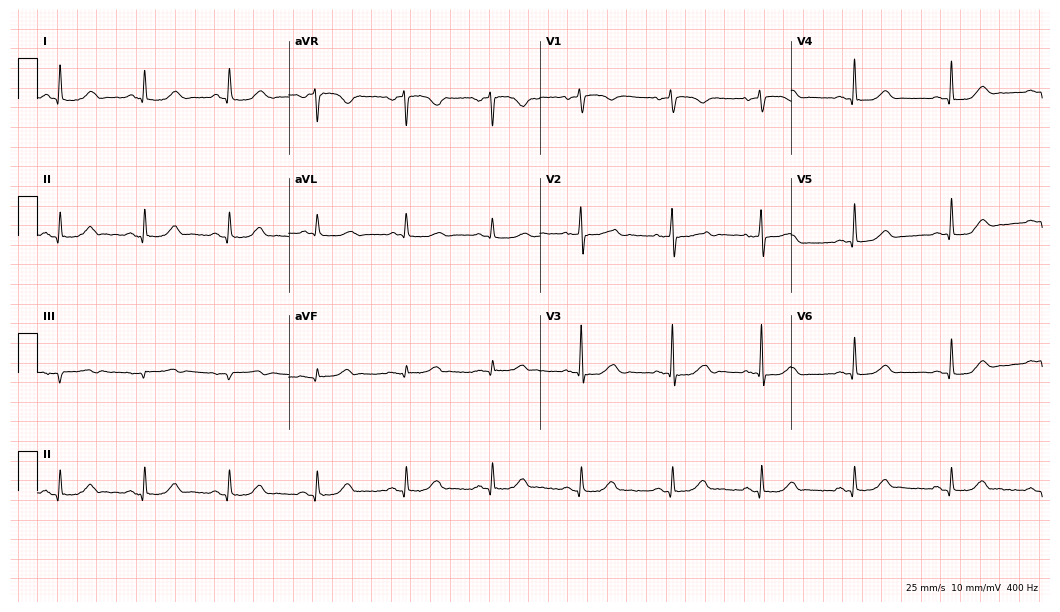
Standard 12-lead ECG recorded from a female patient, 70 years old (10.2-second recording at 400 Hz). None of these six findings is recorded: first-degree AV block, right bundle branch block (RBBB), left bundle branch block (LBBB), sinus bradycardia, atrial fibrillation (AF), sinus tachycardia. Only these six findings were labelled.